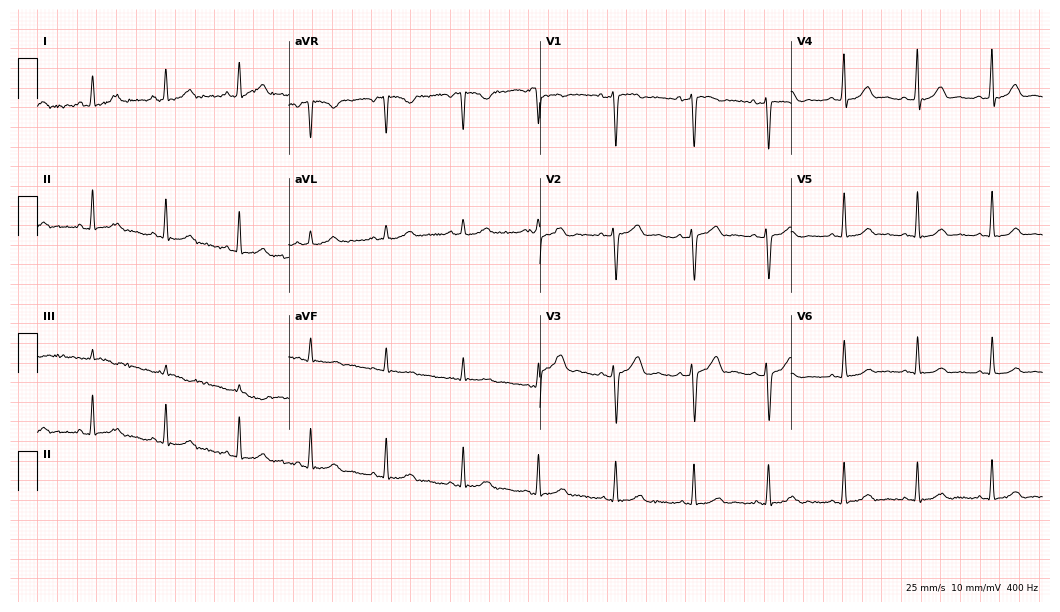
ECG (10.2-second recording at 400 Hz) — a 33-year-old woman. Labelled as a normal ECG.